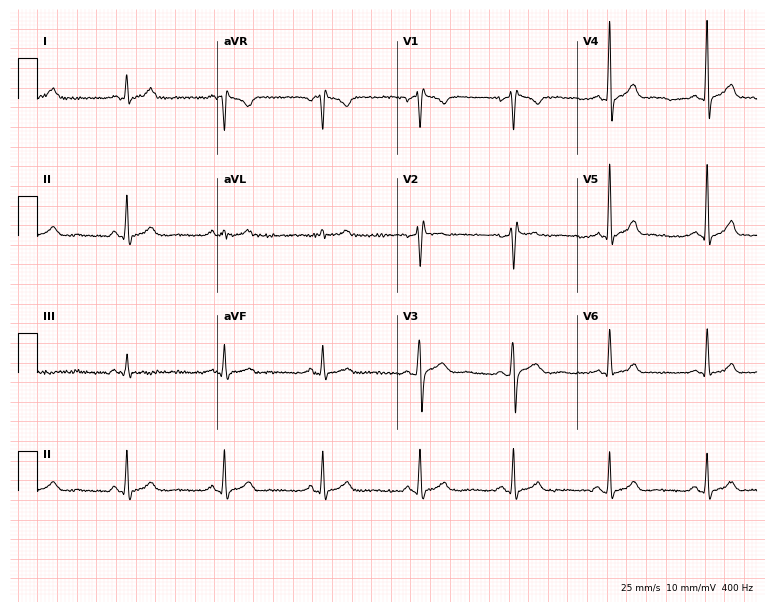
ECG — a man, 33 years old. Screened for six findings — first-degree AV block, right bundle branch block, left bundle branch block, sinus bradycardia, atrial fibrillation, sinus tachycardia — none is recorded. Findings outside these six are not listed.